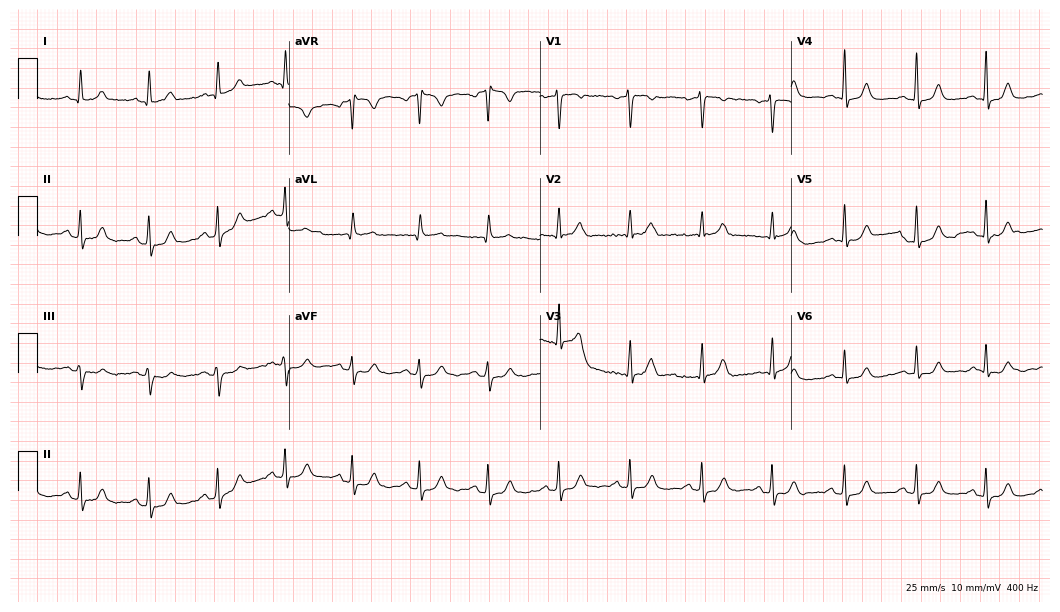
Resting 12-lead electrocardiogram (10.2-second recording at 400 Hz). Patient: a 46-year-old female. Read as a normal ECG.